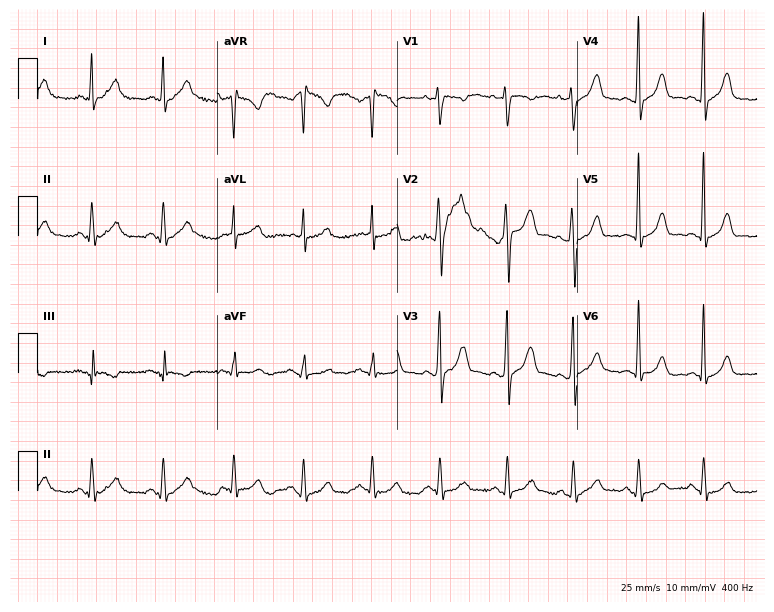
Electrocardiogram, a male patient, 34 years old. Overall reading on record: normal ECG.